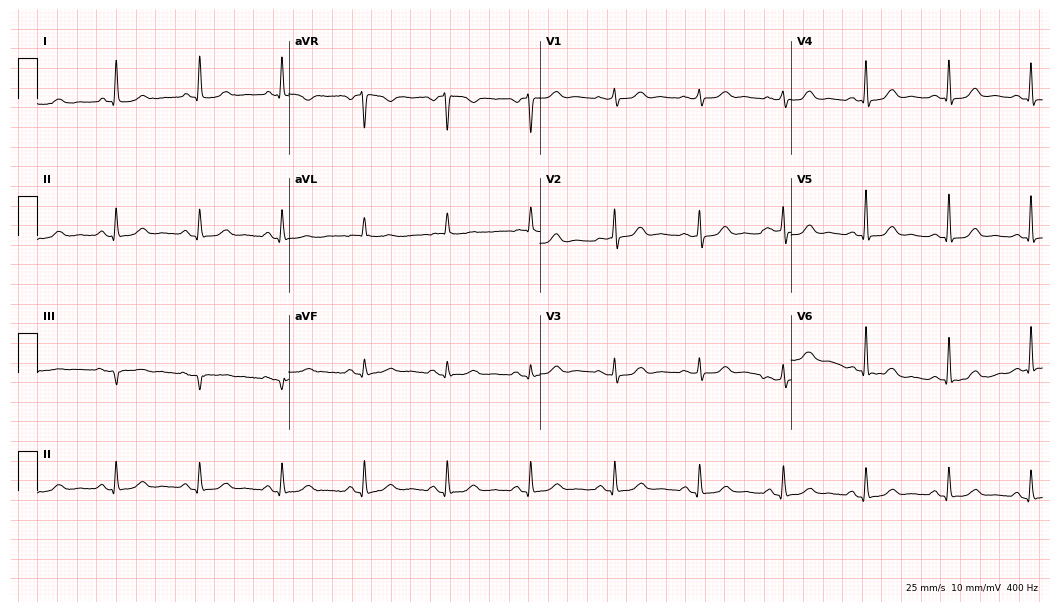
Electrocardiogram, a 77-year-old female. Overall reading on record: normal ECG.